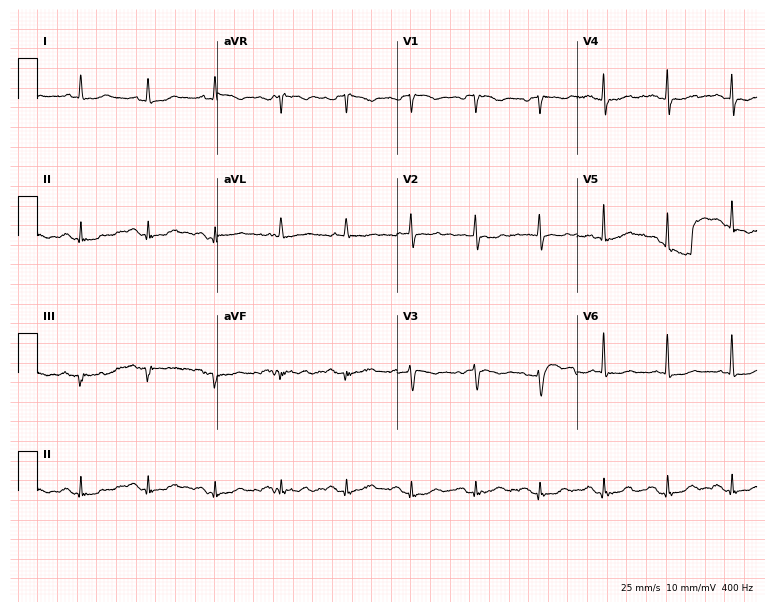
12-lead ECG from an 84-year-old woman. No first-degree AV block, right bundle branch block (RBBB), left bundle branch block (LBBB), sinus bradycardia, atrial fibrillation (AF) or sinus tachycardia recorded for this tracing. Other findings, if any, are not listed.